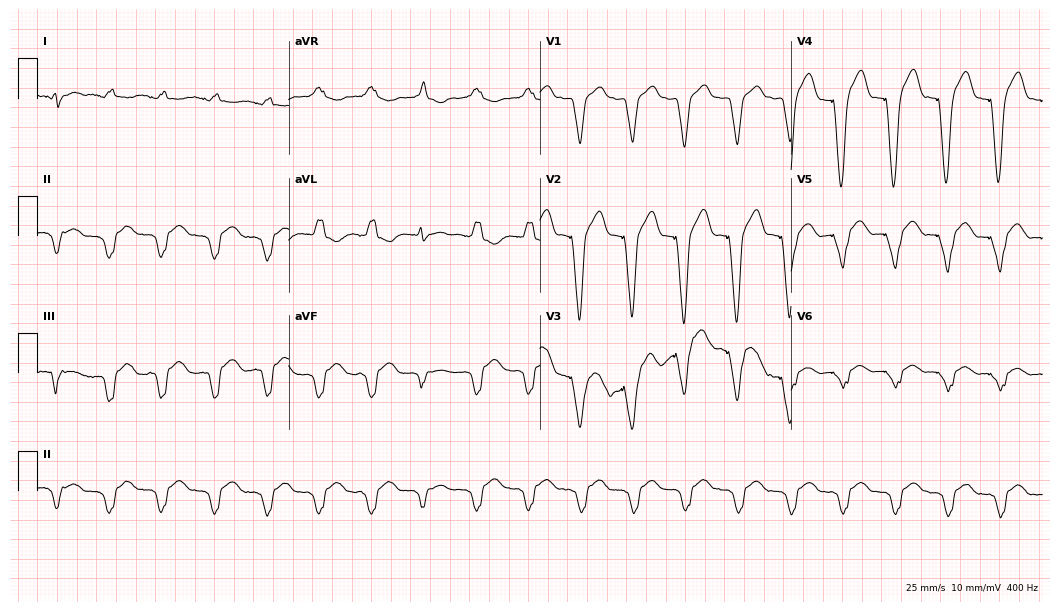
Resting 12-lead electrocardiogram. Patient: a female, 79 years old. None of these six findings is recorded: first-degree AV block, right bundle branch block (RBBB), left bundle branch block (LBBB), sinus bradycardia, atrial fibrillation (AF), sinus tachycardia.